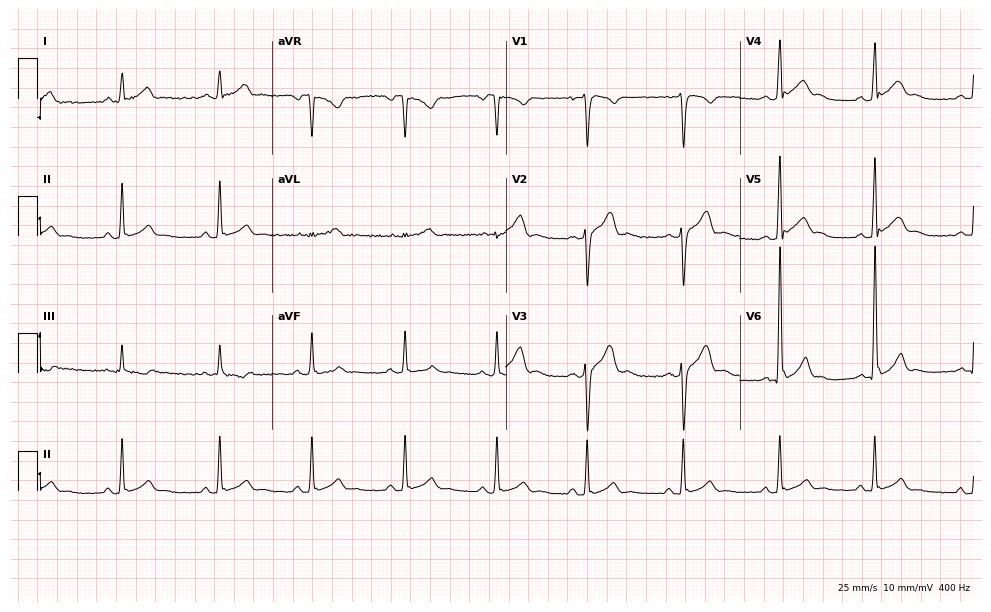
12-lead ECG from a 27-year-old male. Recorded interpretation: within normal limits.